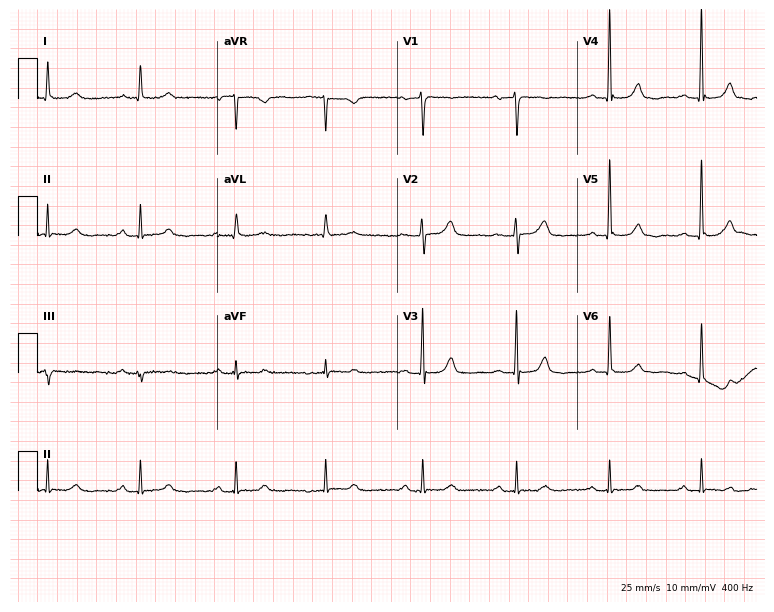
12-lead ECG (7.3-second recording at 400 Hz) from a woman, 76 years old. Labelled as a normal ECG.